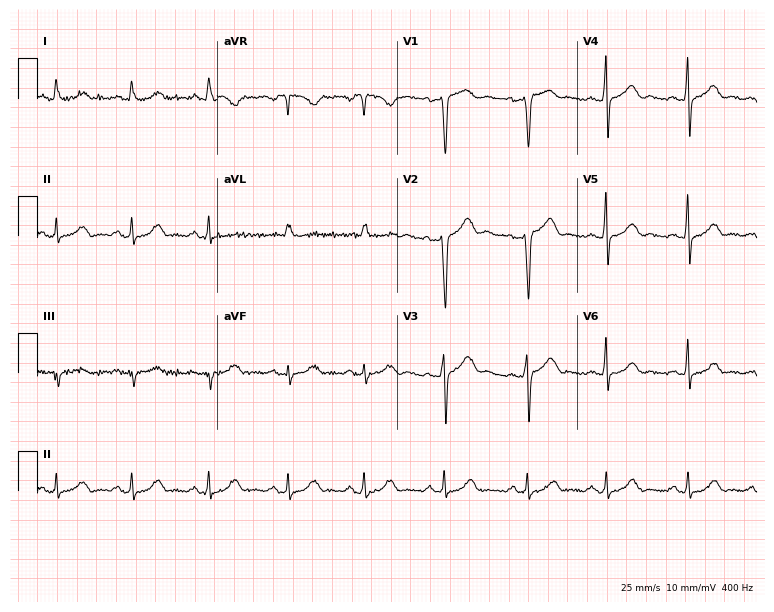
Resting 12-lead electrocardiogram (7.3-second recording at 400 Hz). Patient: a 41-year-old female. Read as a normal ECG.